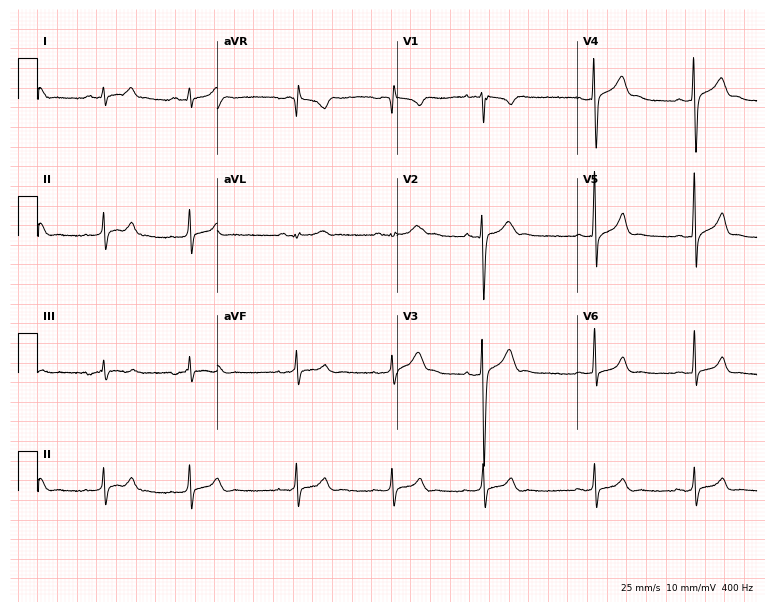
Resting 12-lead electrocardiogram (7.3-second recording at 400 Hz). Patient: a 22-year-old man. None of these six findings is recorded: first-degree AV block, right bundle branch block (RBBB), left bundle branch block (LBBB), sinus bradycardia, atrial fibrillation (AF), sinus tachycardia.